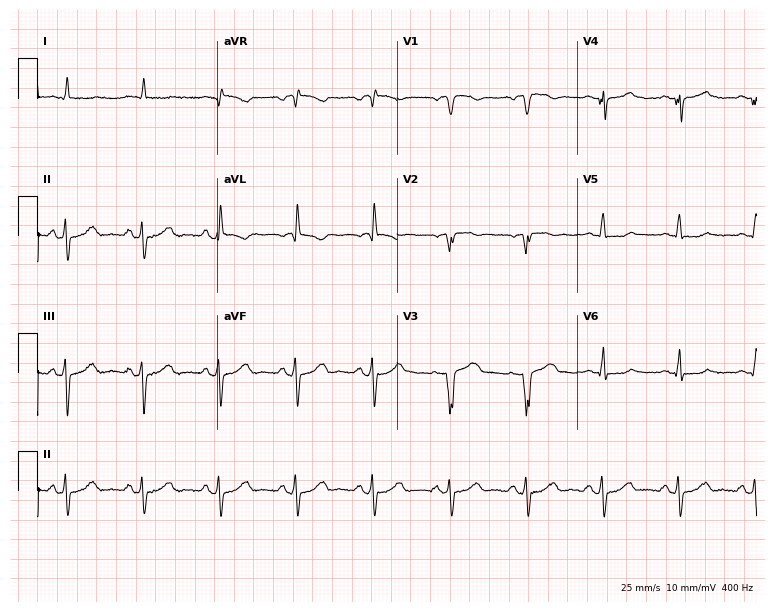
12-lead ECG from an 82-year-old male patient. Screened for six findings — first-degree AV block, right bundle branch block, left bundle branch block, sinus bradycardia, atrial fibrillation, sinus tachycardia — none is recorded. Other findings, if any, are not listed.